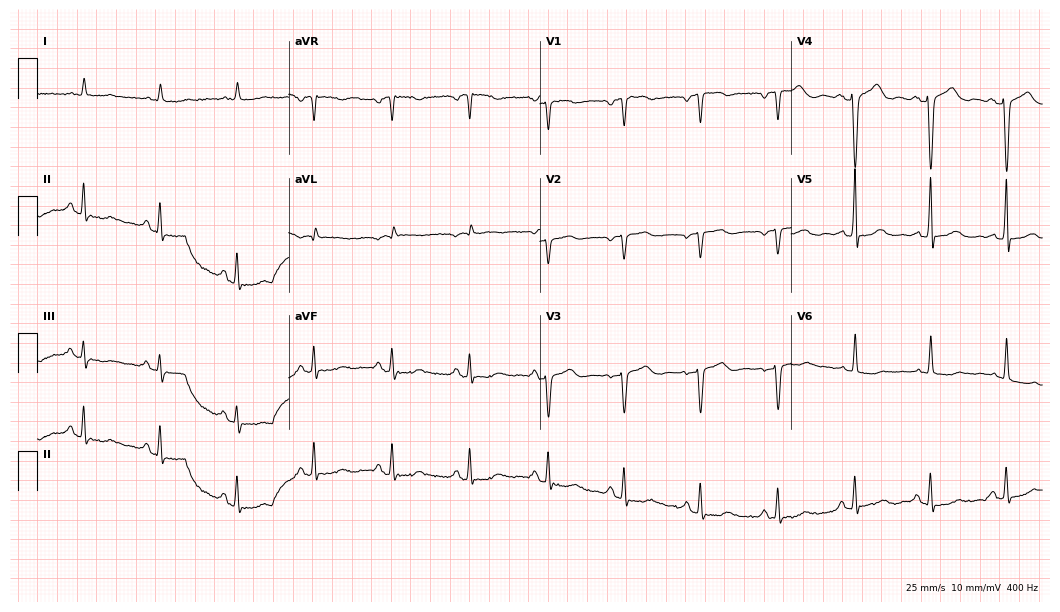
12-lead ECG (10.2-second recording at 400 Hz) from an 84-year-old male. Screened for six findings — first-degree AV block, right bundle branch block, left bundle branch block, sinus bradycardia, atrial fibrillation, sinus tachycardia — none is recorded. Only these six findings were labelled.